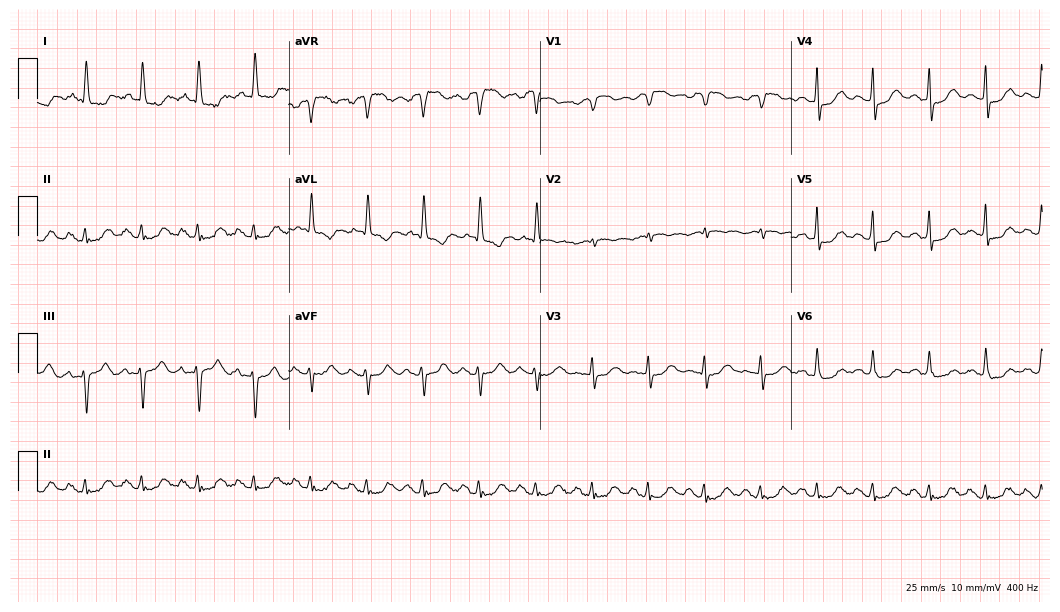
ECG (10.2-second recording at 400 Hz) — a woman, 74 years old. Screened for six findings — first-degree AV block, right bundle branch block, left bundle branch block, sinus bradycardia, atrial fibrillation, sinus tachycardia — none is recorded.